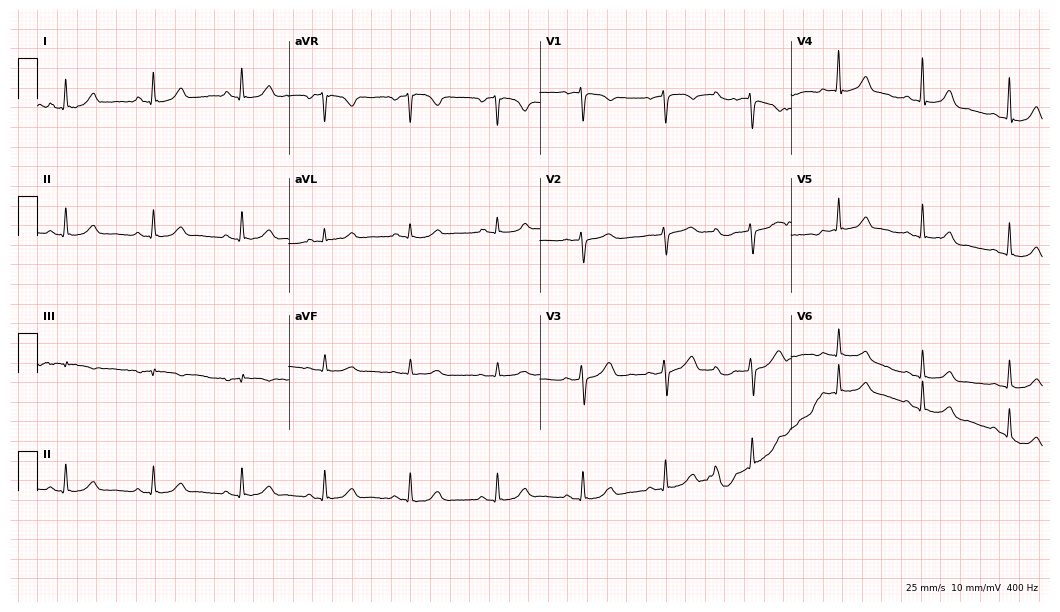
12-lead ECG from a 36-year-old female. Recorded interpretation: within normal limits.